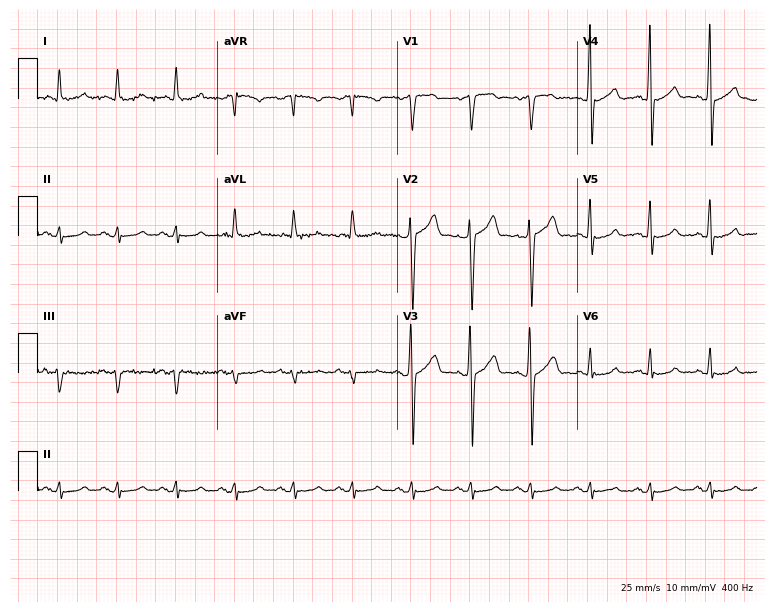
12-lead ECG from a male, 62 years old. No first-degree AV block, right bundle branch block, left bundle branch block, sinus bradycardia, atrial fibrillation or sinus tachycardia recorded for this tracing. Other findings, if any, are not listed.